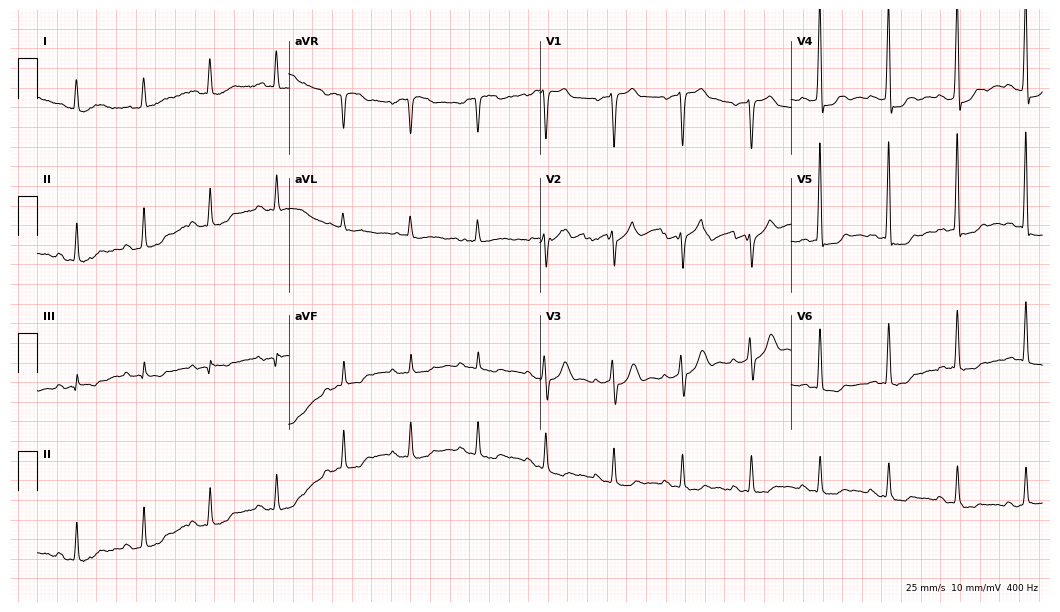
ECG — an 81-year-old male patient. Screened for six findings — first-degree AV block, right bundle branch block, left bundle branch block, sinus bradycardia, atrial fibrillation, sinus tachycardia — none is recorded. Other findings, if any, are not listed.